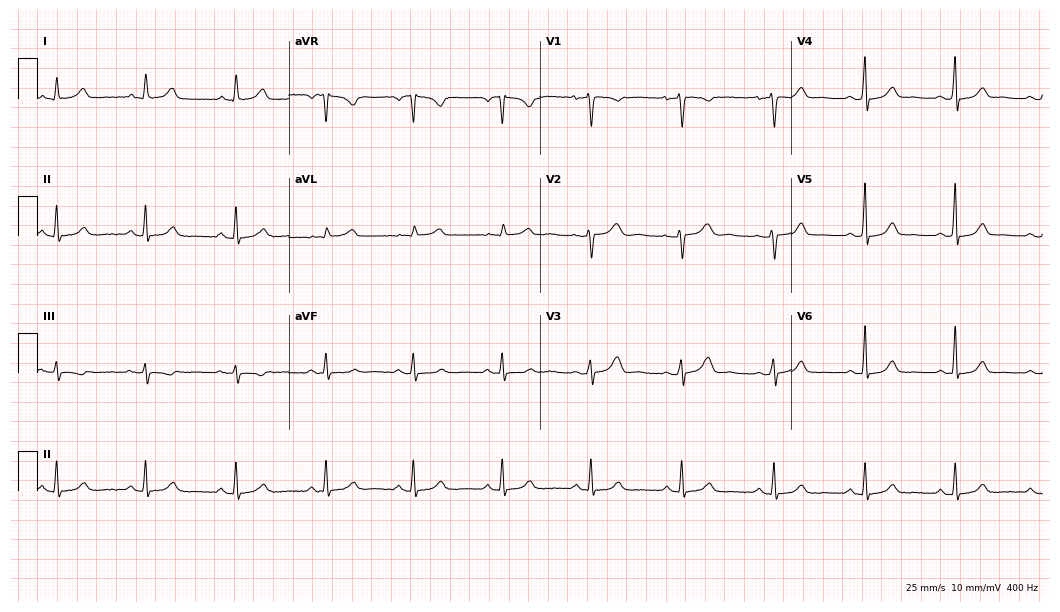
12-lead ECG (10.2-second recording at 400 Hz) from a woman, 40 years old. Labelled as a normal ECG.